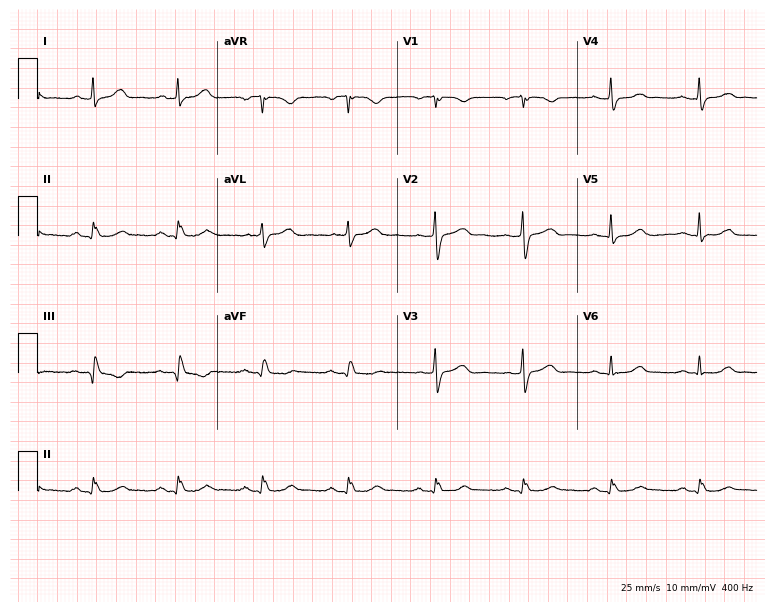
12-lead ECG from a male, 63 years old (7.3-second recording at 400 Hz). No first-degree AV block, right bundle branch block, left bundle branch block, sinus bradycardia, atrial fibrillation or sinus tachycardia recorded for this tracing.